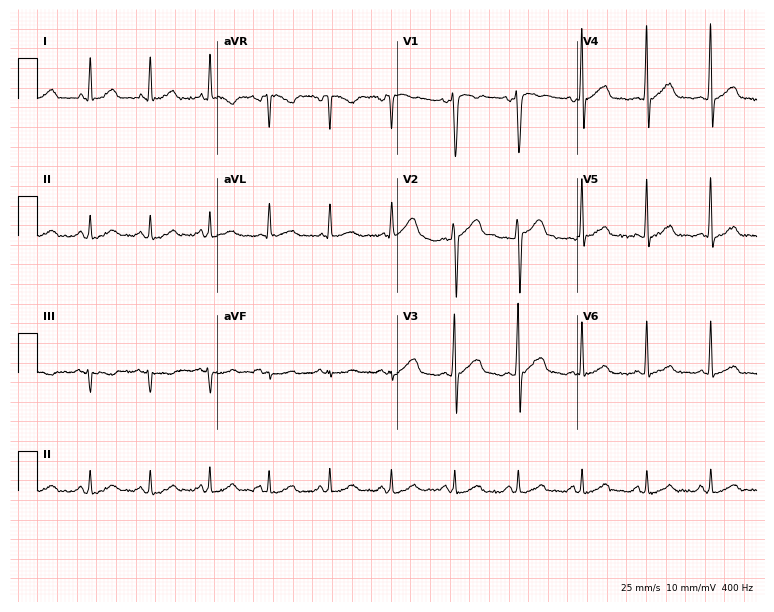
Resting 12-lead electrocardiogram. Patient: a male, 42 years old. Read as a normal ECG.